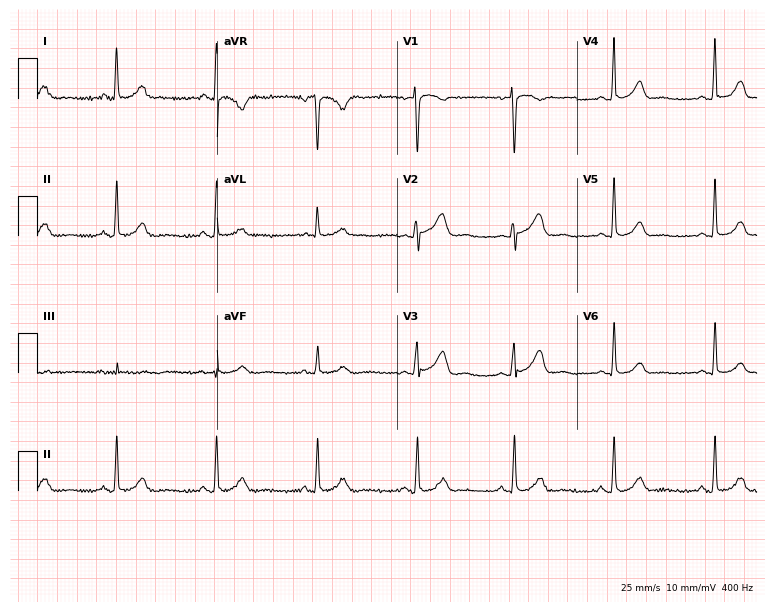
Resting 12-lead electrocardiogram (7.3-second recording at 400 Hz). Patient: a female, 52 years old. Read as a normal ECG.